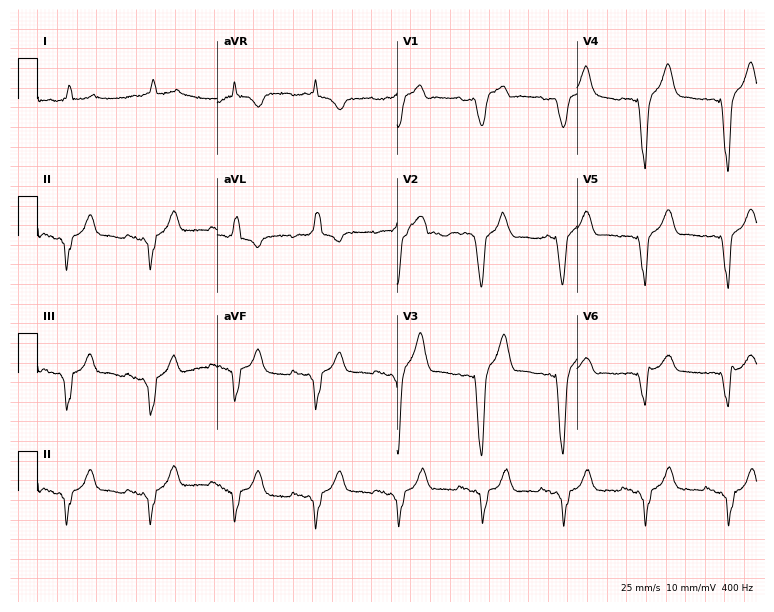
12-lead ECG from a 73-year-old man. Screened for six findings — first-degree AV block, right bundle branch block, left bundle branch block, sinus bradycardia, atrial fibrillation, sinus tachycardia — none is recorded.